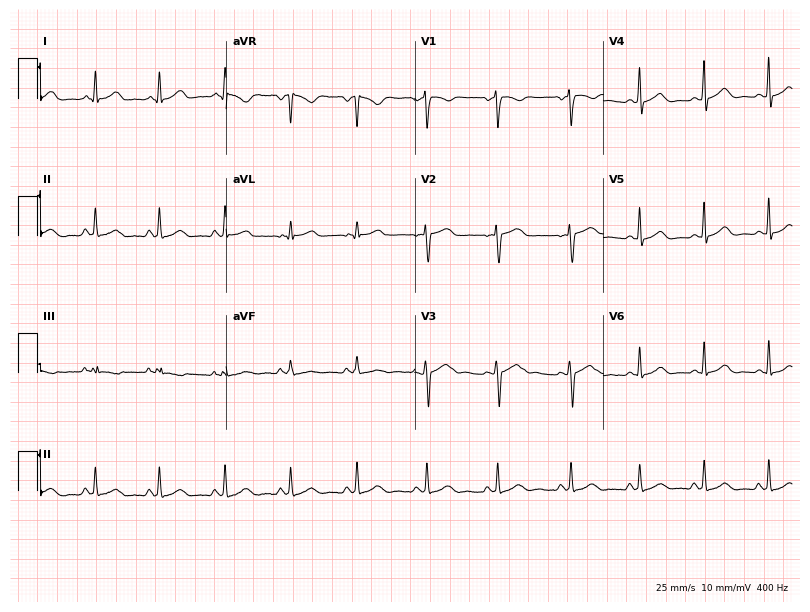
Electrocardiogram, a female, 37 years old. Overall reading on record: normal ECG.